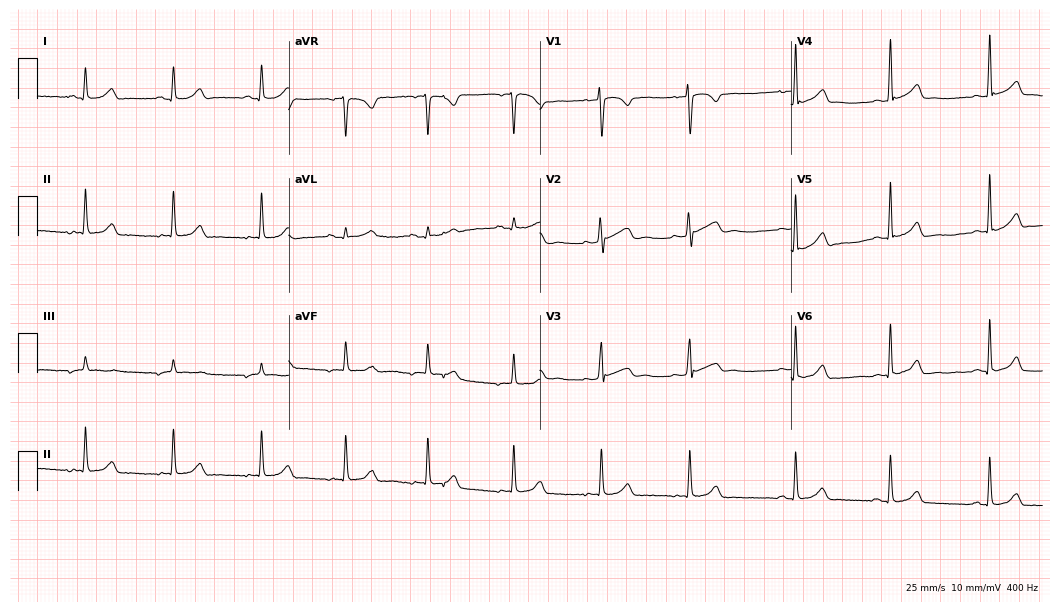
12-lead ECG from a woman, 18 years old. Recorded interpretation: within normal limits.